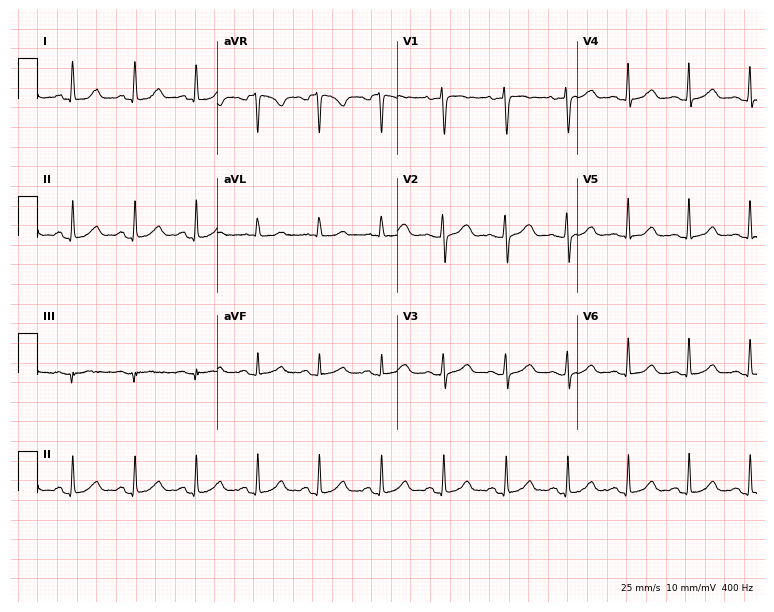
Resting 12-lead electrocardiogram. Patient: a 47-year-old female. Read as a normal ECG.